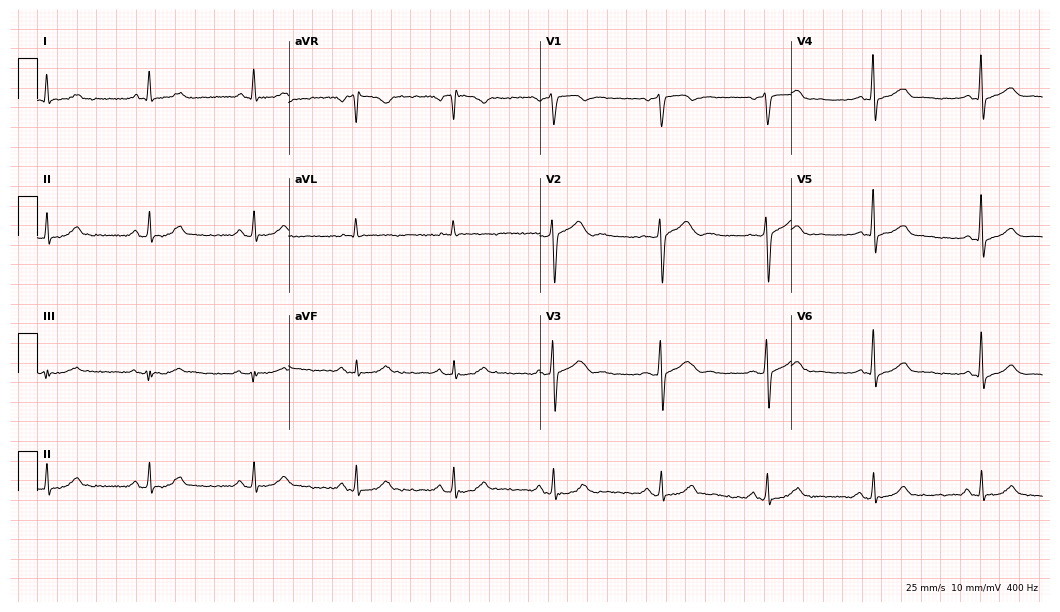
Electrocardiogram, a 61-year-old male. Of the six screened findings (first-degree AV block, right bundle branch block (RBBB), left bundle branch block (LBBB), sinus bradycardia, atrial fibrillation (AF), sinus tachycardia), none is recorded.